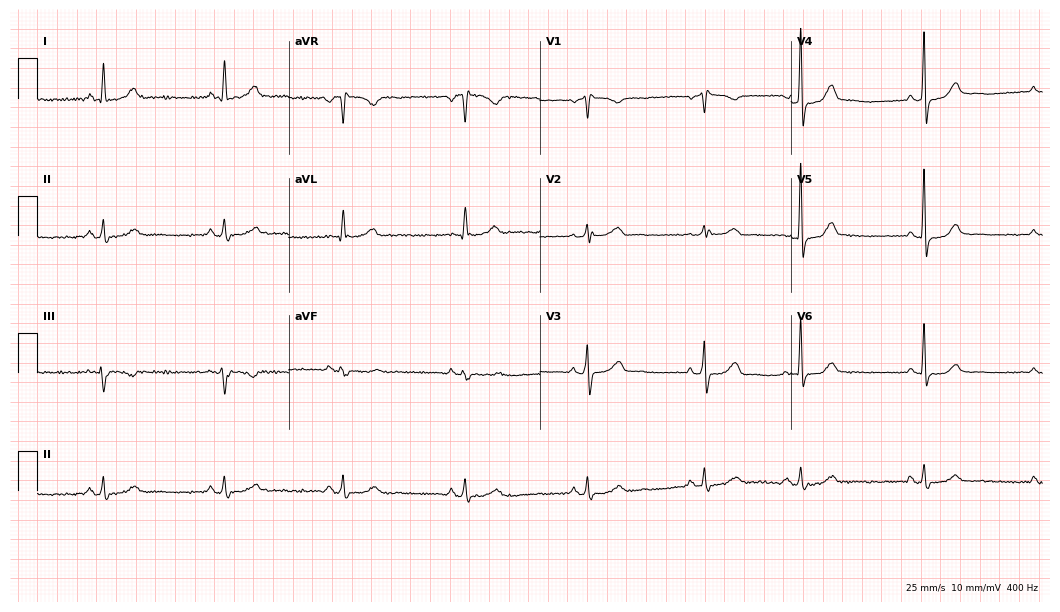
12-lead ECG (10.2-second recording at 400 Hz) from a female patient, 64 years old. Screened for six findings — first-degree AV block, right bundle branch block, left bundle branch block, sinus bradycardia, atrial fibrillation, sinus tachycardia — none is recorded. Only these six findings were labelled.